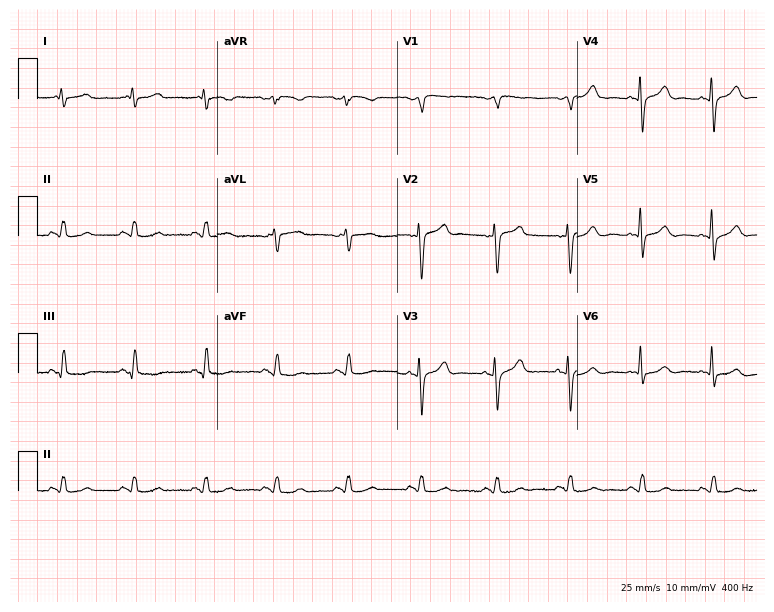
Standard 12-lead ECG recorded from a male, 78 years old (7.3-second recording at 400 Hz). None of these six findings is recorded: first-degree AV block, right bundle branch block, left bundle branch block, sinus bradycardia, atrial fibrillation, sinus tachycardia.